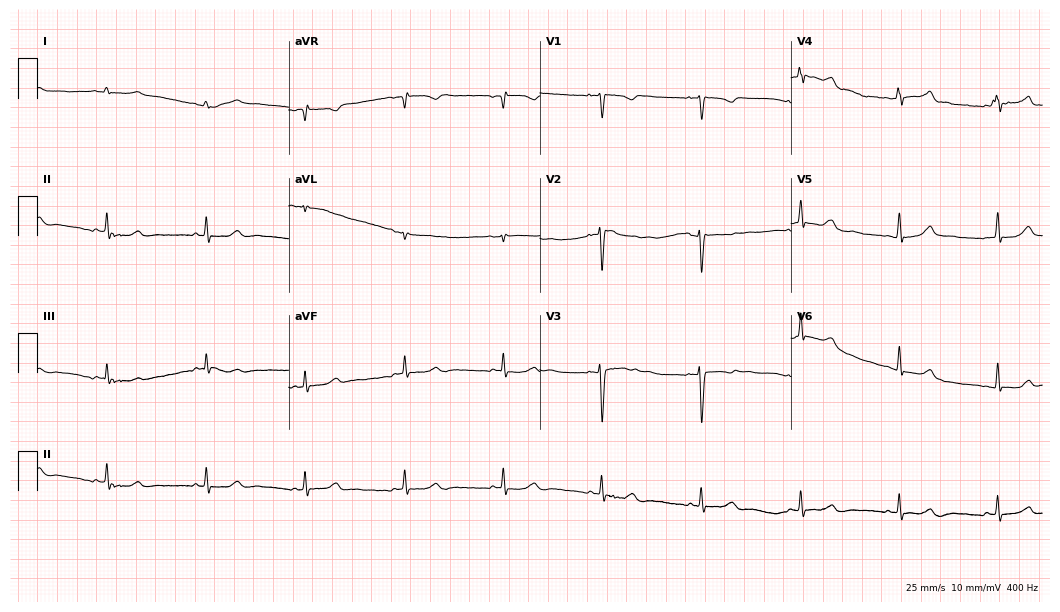
ECG (10.2-second recording at 400 Hz) — a 42-year-old female patient. Screened for six findings — first-degree AV block, right bundle branch block, left bundle branch block, sinus bradycardia, atrial fibrillation, sinus tachycardia — none is recorded. Other findings, if any, are not listed.